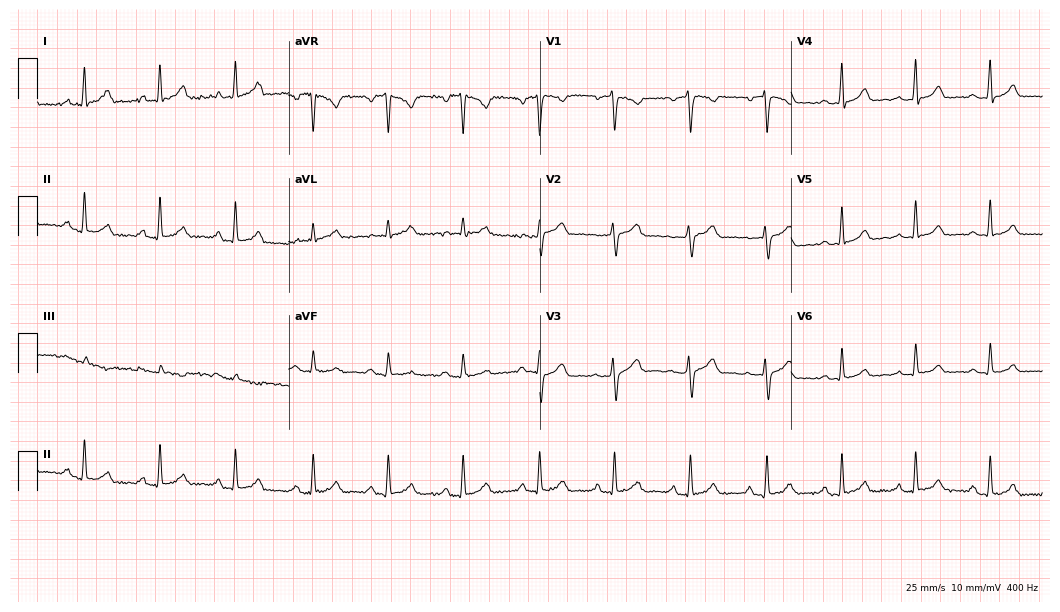
Standard 12-lead ECG recorded from a woman, 39 years old (10.2-second recording at 400 Hz). None of these six findings is recorded: first-degree AV block, right bundle branch block (RBBB), left bundle branch block (LBBB), sinus bradycardia, atrial fibrillation (AF), sinus tachycardia. Other findings, if any, are not listed.